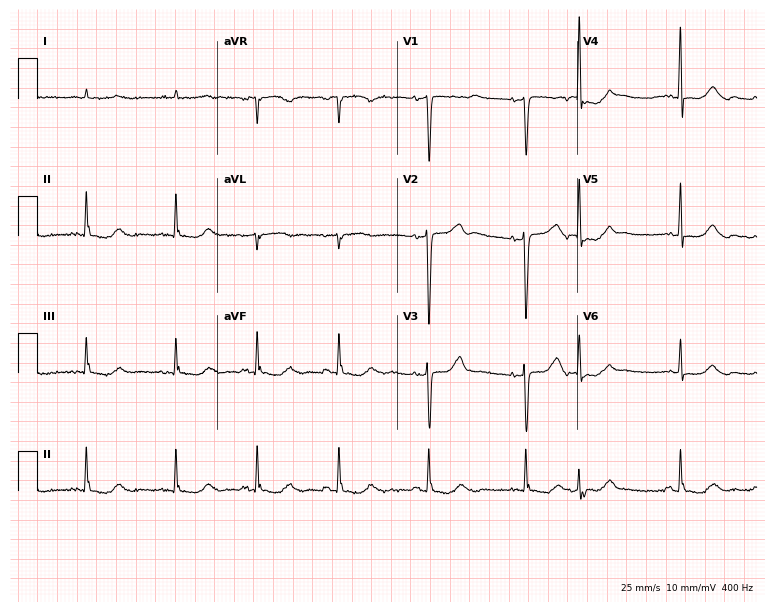
Electrocardiogram, a 73-year-old male. Of the six screened findings (first-degree AV block, right bundle branch block, left bundle branch block, sinus bradycardia, atrial fibrillation, sinus tachycardia), none is recorded. Only these six findings were labelled.